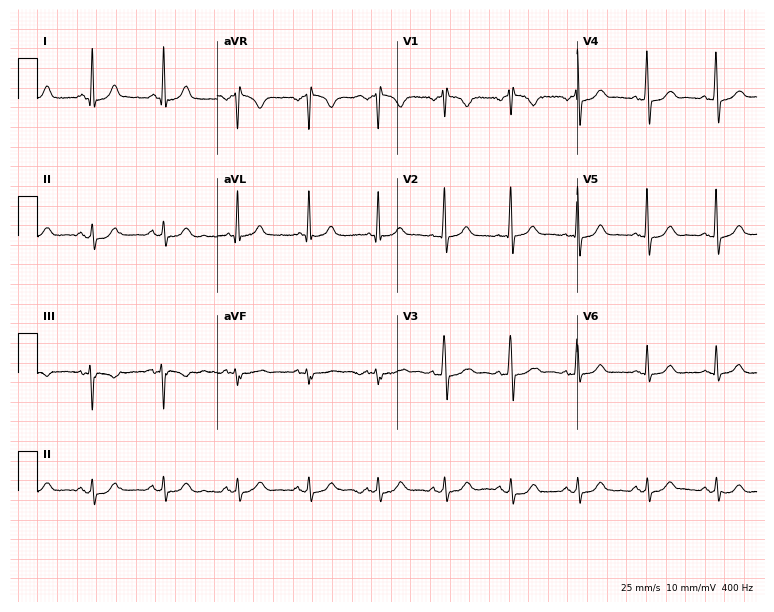
Resting 12-lead electrocardiogram (7.3-second recording at 400 Hz). Patient: a man, 44 years old. Read as a normal ECG.